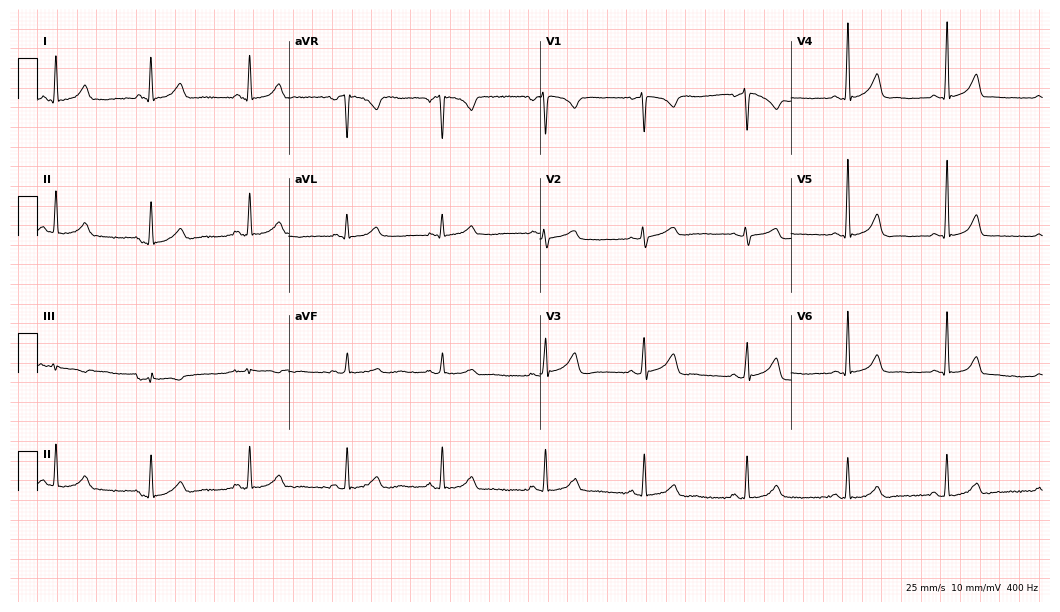
Electrocardiogram (10.2-second recording at 400 Hz), a 36-year-old female patient. Overall reading on record: normal ECG.